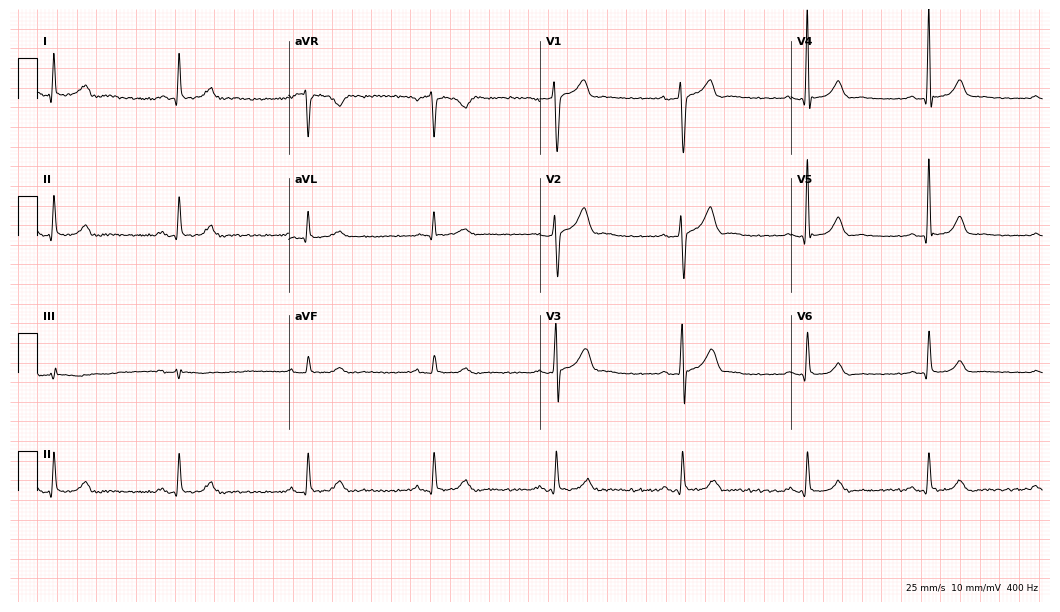
Electrocardiogram (10.2-second recording at 400 Hz), a male patient, 43 years old. Of the six screened findings (first-degree AV block, right bundle branch block (RBBB), left bundle branch block (LBBB), sinus bradycardia, atrial fibrillation (AF), sinus tachycardia), none is recorded. Other findings, if any, are not listed.